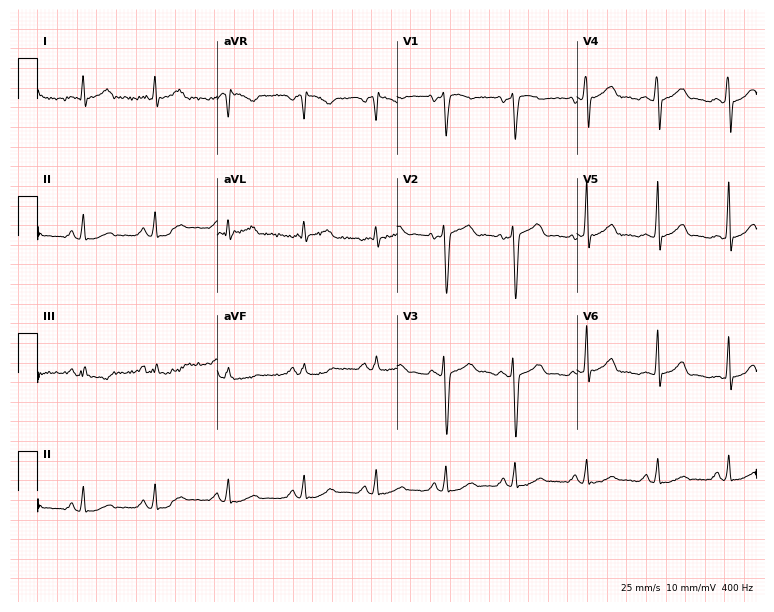
Standard 12-lead ECG recorded from a 46-year-old male patient. None of these six findings is recorded: first-degree AV block, right bundle branch block, left bundle branch block, sinus bradycardia, atrial fibrillation, sinus tachycardia.